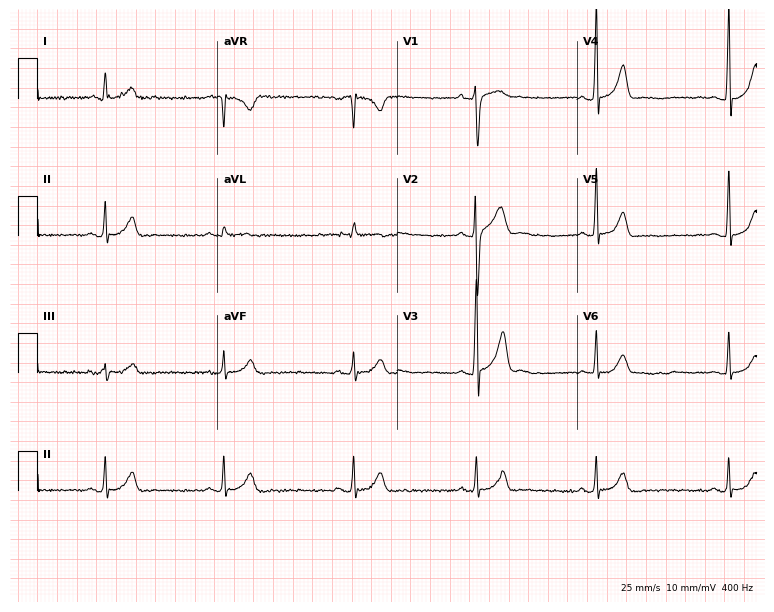
12-lead ECG from a male, 21 years old. Findings include sinus bradycardia (a sinus rate of 50 beats per minute or less).